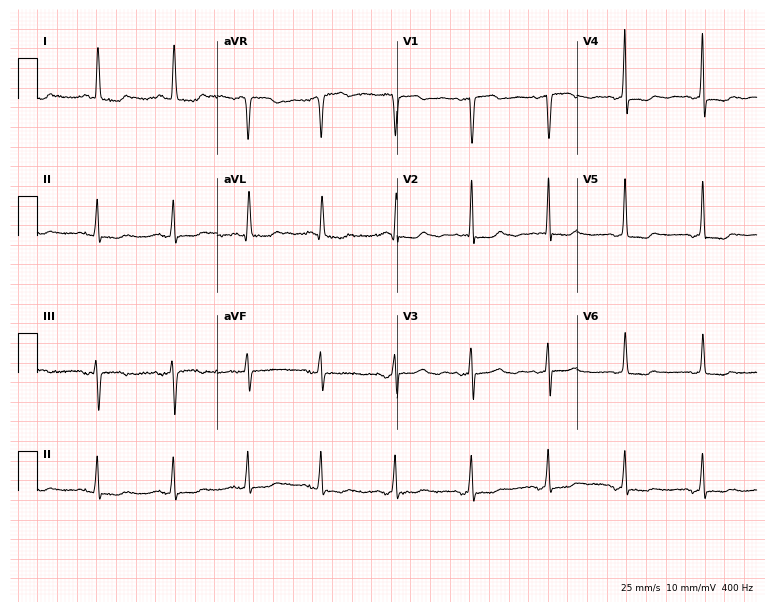
Electrocardiogram, a woman, 80 years old. Of the six screened findings (first-degree AV block, right bundle branch block, left bundle branch block, sinus bradycardia, atrial fibrillation, sinus tachycardia), none is recorded. Only these six findings were labelled.